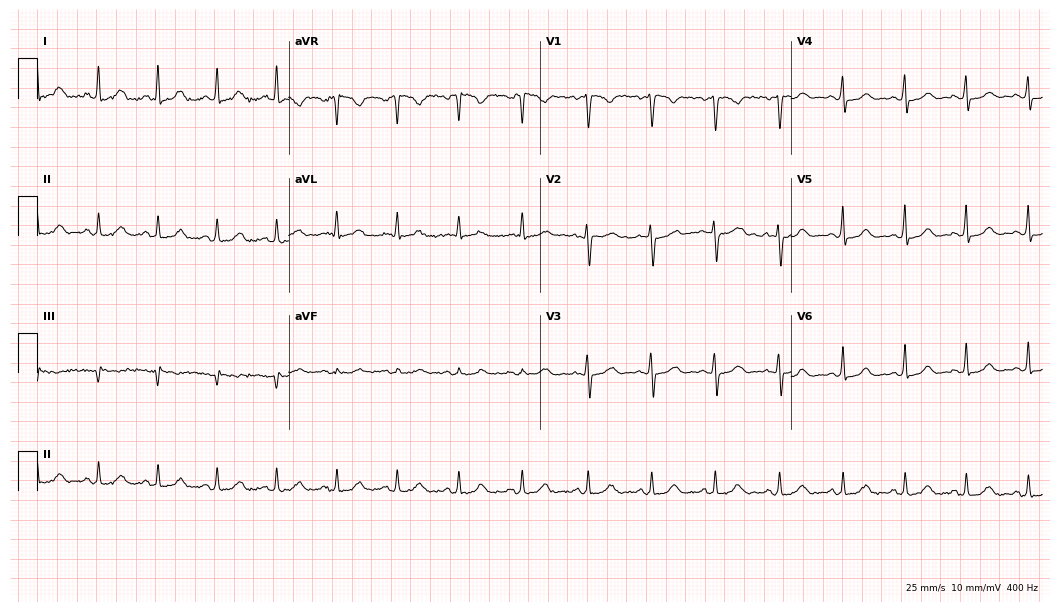
12-lead ECG from a female patient, 42 years old. No first-degree AV block, right bundle branch block, left bundle branch block, sinus bradycardia, atrial fibrillation or sinus tachycardia recorded for this tracing. Only these six findings were labelled.